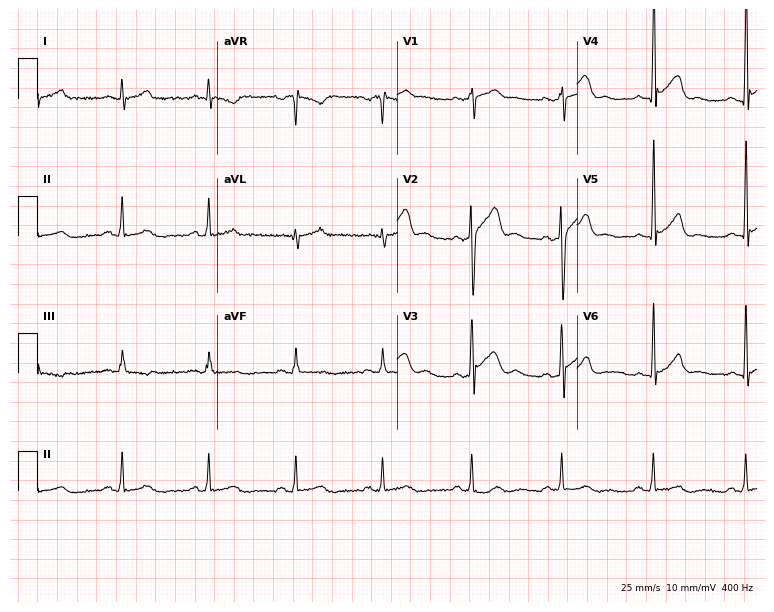
Standard 12-lead ECG recorded from a male patient, 45 years old. None of these six findings is recorded: first-degree AV block, right bundle branch block, left bundle branch block, sinus bradycardia, atrial fibrillation, sinus tachycardia.